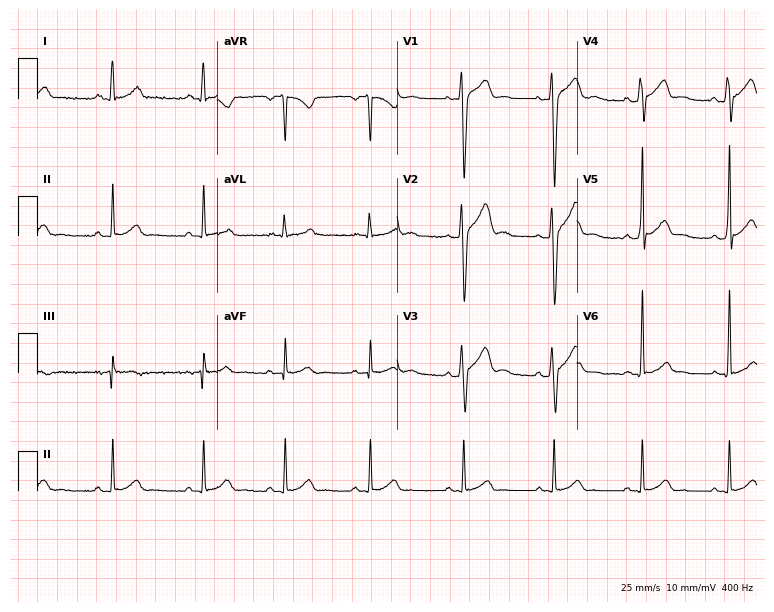
12-lead ECG from an 18-year-old man (7.3-second recording at 400 Hz). No first-degree AV block, right bundle branch block, left bundle branch block, sinus bradycardia, atrial fibrillation or sinus tachycardia recorded for this tracing. Only these six findings were labelled.